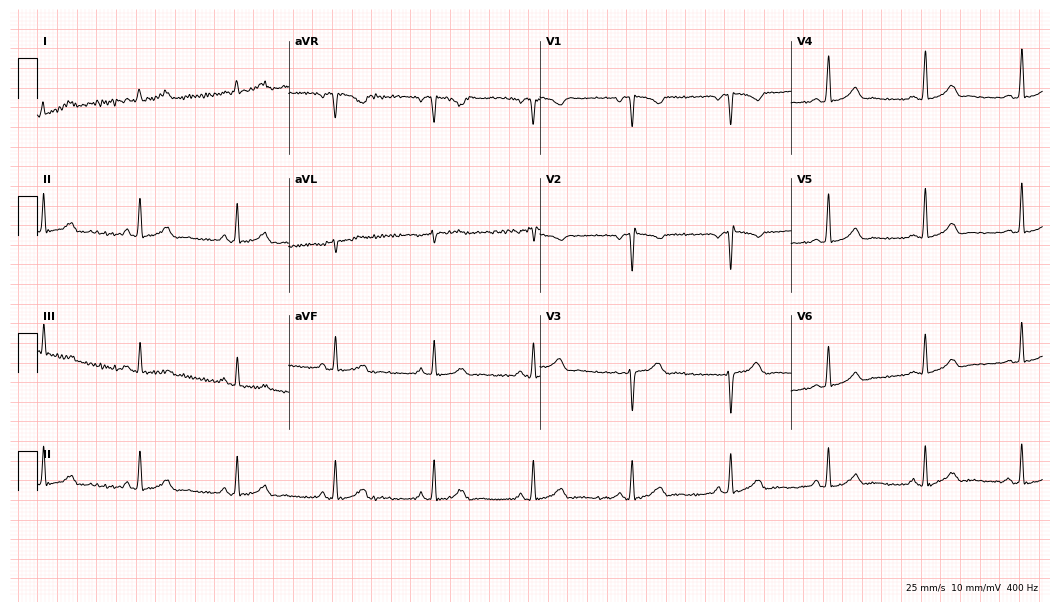
Electrocardiogram (10.2-second recording at 400 Hz), a female patient, 27 years old. Overall reading on record: normal ECG.